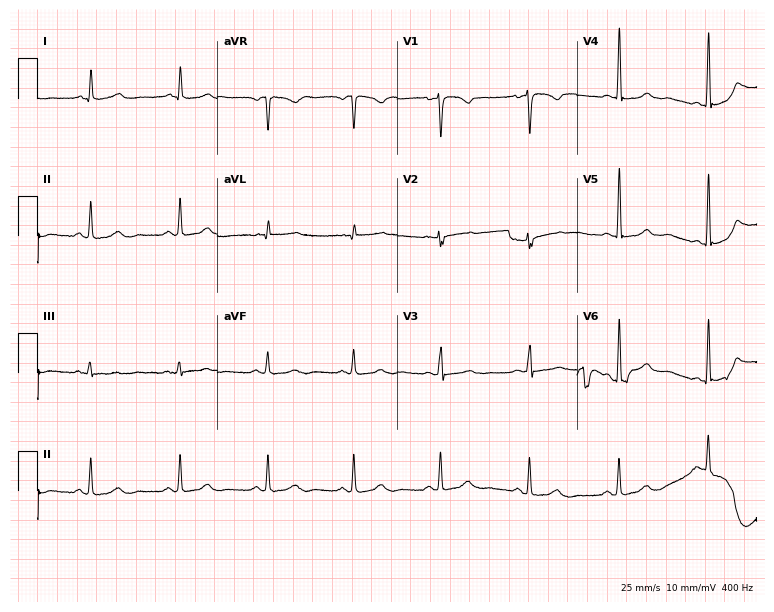
Standard 12-lead ECG recorded from a 50-year-old female (7.3-second recording at 400 Hz). None of these six findings is recorded: first-degree AV block, right bundle branch block, left bundle branch block, sinus bradycardia, atrial fibrillation, sinus tachycardia.